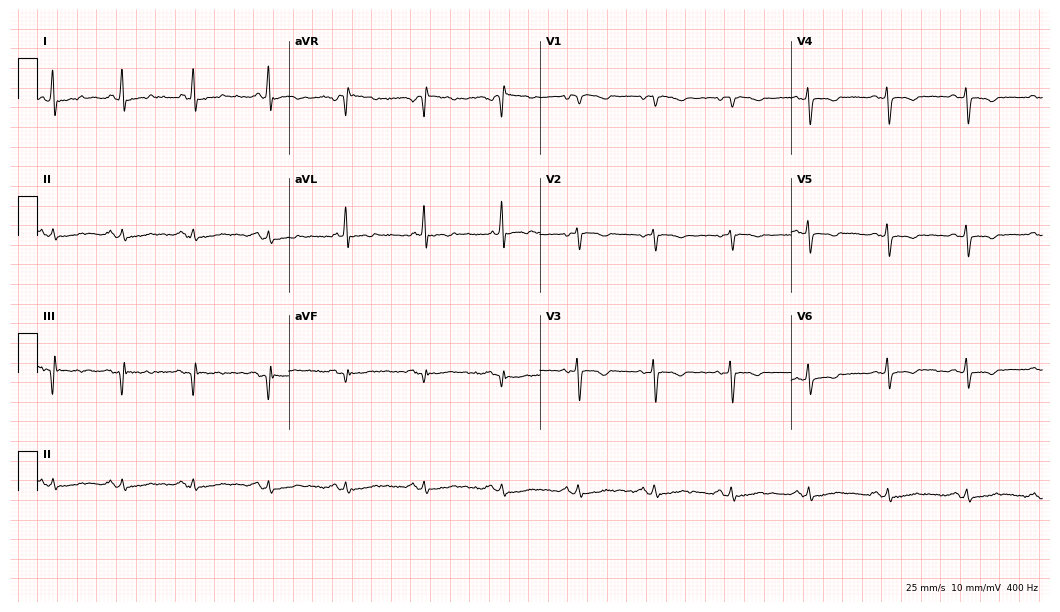
12-lead ECG from a 61-year-old female patient. Screened for six findings — first-degree AV block, right bundle branch block, left bundle branch block, sinus bradycardia, atrial fibrillation, sinus tachycardia — none is recorded.